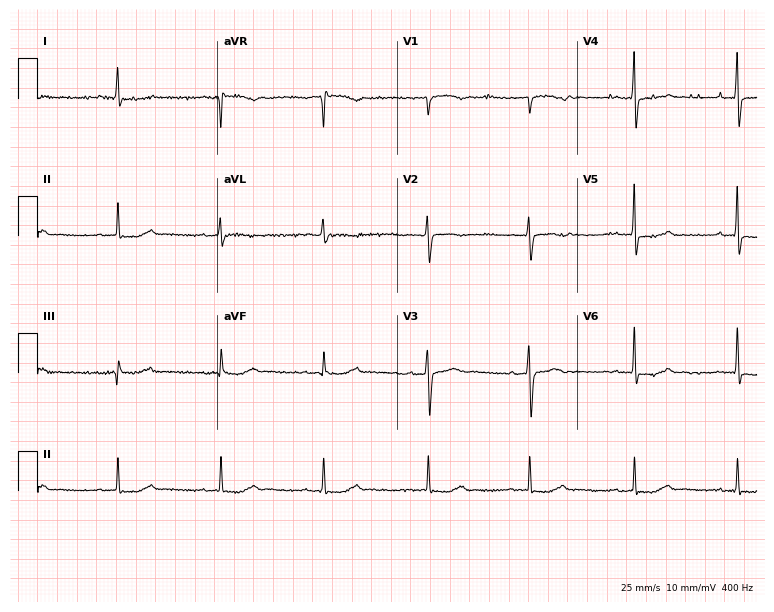
12-lead ECG from a male, 83 years old. Screened for six findings — first-degree AV block, right bundle branch block, left bundle branch block, sinus bradycardia, atrial fibrillation, sinus tachycardia — none is recorded. Findings outside these six are not listed.